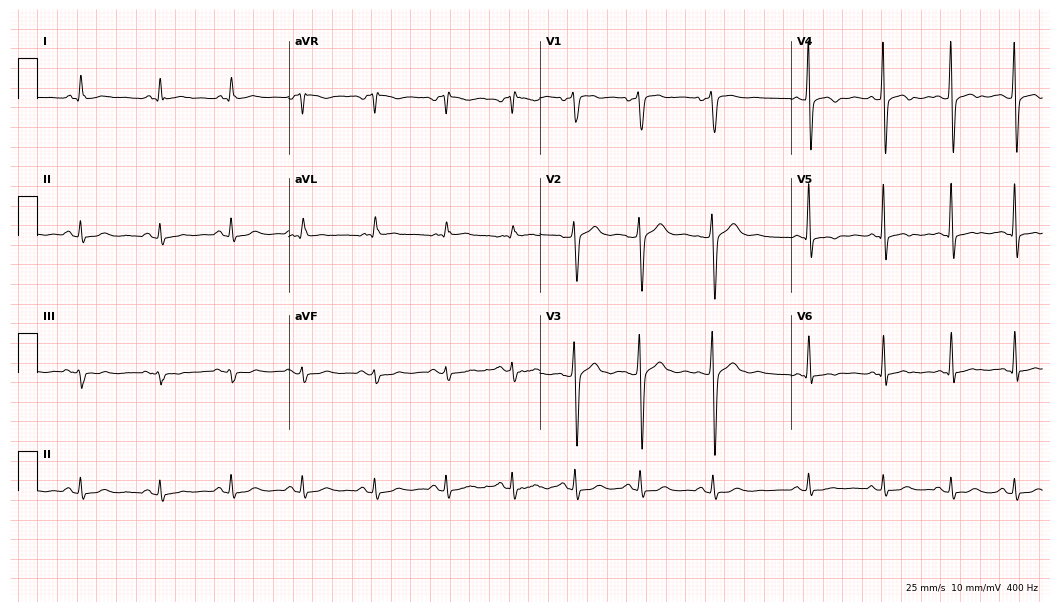
ECG — a female, 50 years old. Screened for six findings — first-degree AV block, right bundle branch block (RBBB), left bundle branch block (LBBB), sinus bradycardia, atrial fibrillation (AF), sinus tachycardia — none is recorded. Other findings, if any, are not listed.